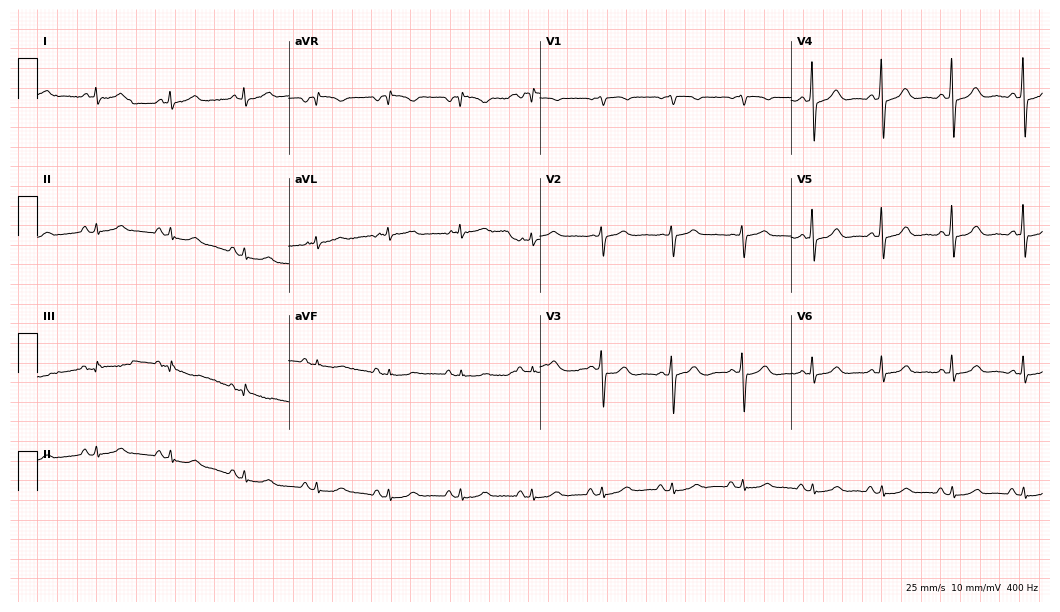
Resting 12-lead electrocardiogram. Patient: a 76-year-old female. Read as a normal ECG.